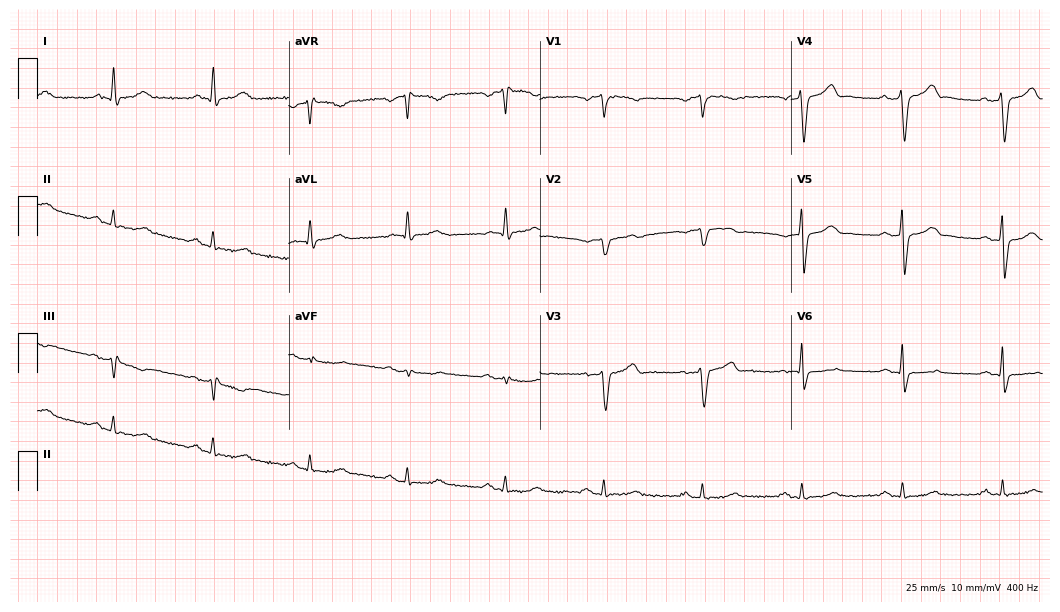
Resting 12-lead electrocardiogram (10.2-second recording at 400 Hz). Patient: a 64-year-old male. None of these six findings is recorded: first-degree AV block, right bundle branch block, left bundle branch block, sinus bradycardia, atrial fibrillation, sinus tachycardia.